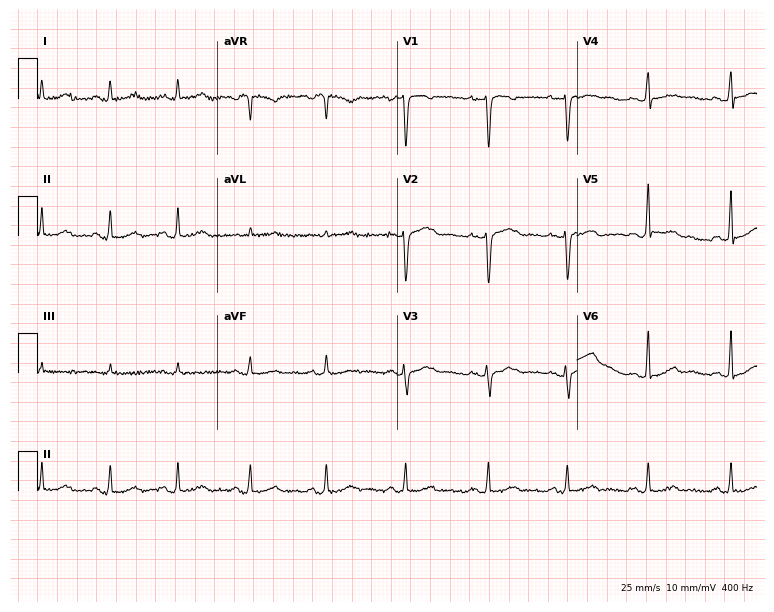
Standard 12-lead ECG recorded from a female patient, 31 years old. None of these six findings is recorded: first-degree AV block, right bundle branch block, left bundle branch block, sinus bradycardia, atrial fibrillation, sinus tachycardia.